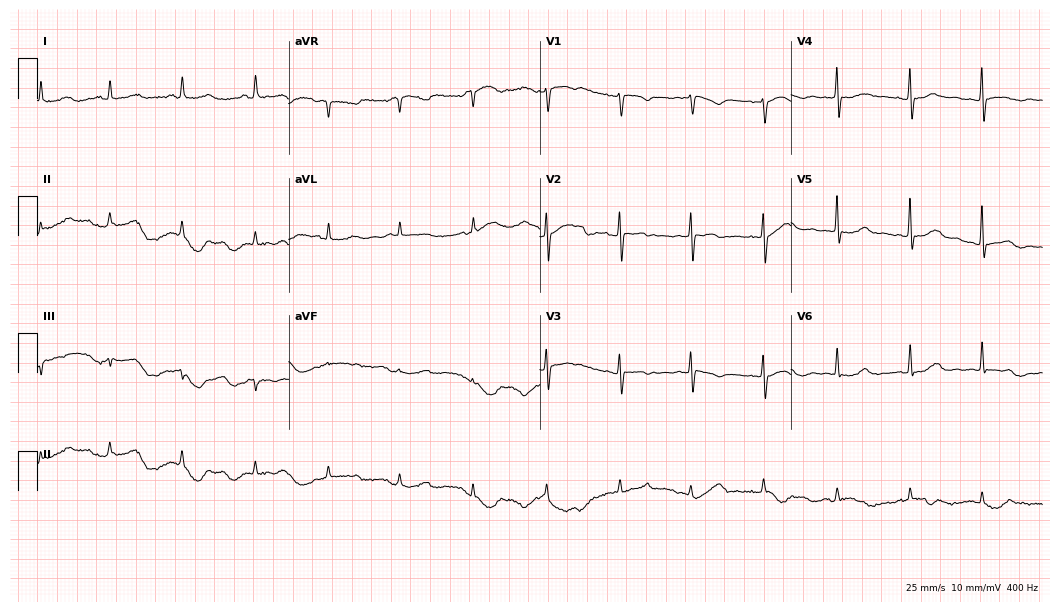
ECG (10.2-second recording at 400 Hz) — a woman, 43 years old. Screened for six findings — first-degree AV block, right bundle branch block, left bundle branch block, sinus bradycardia, atrial fibrillation, sinus tachycardia — none is recorded. Other findings, if any, are not listed.